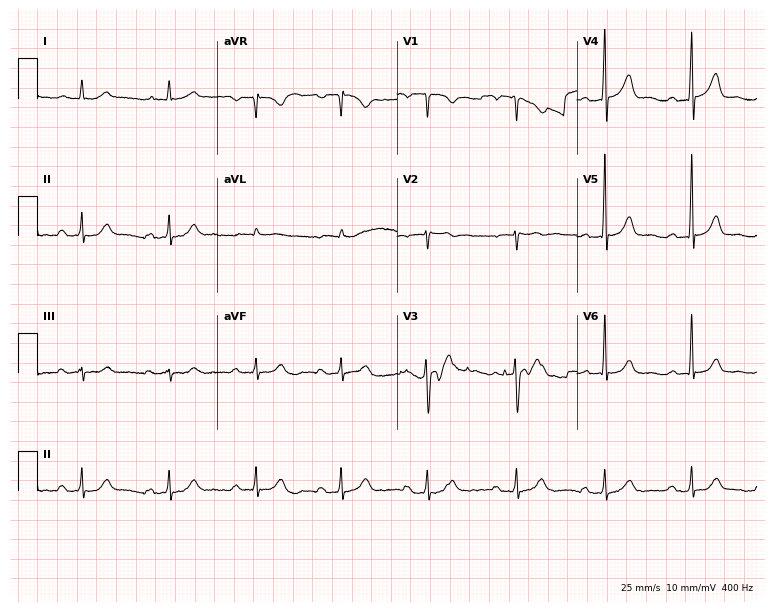
12-lead ECG from a 73-year-old male. Labelled as a normal ECG.